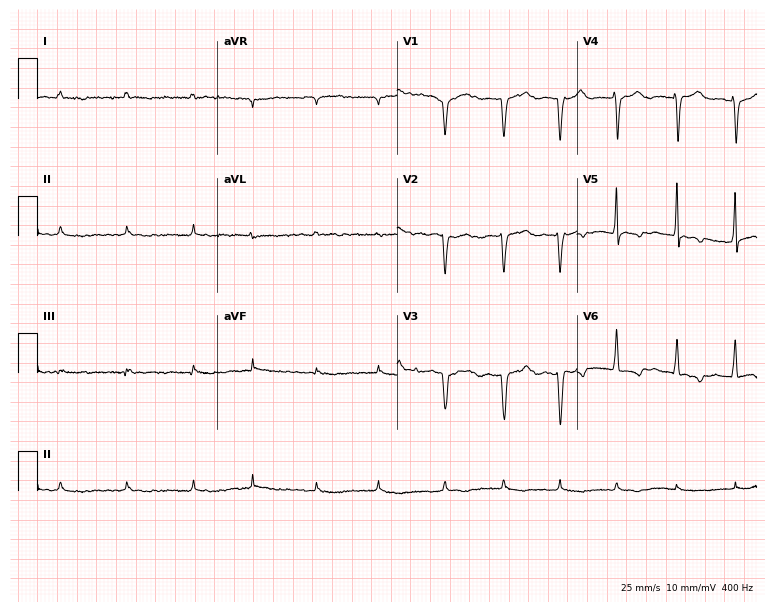
ECG — an 80-year-old woman. Findings include atrial fibrillation (AF).